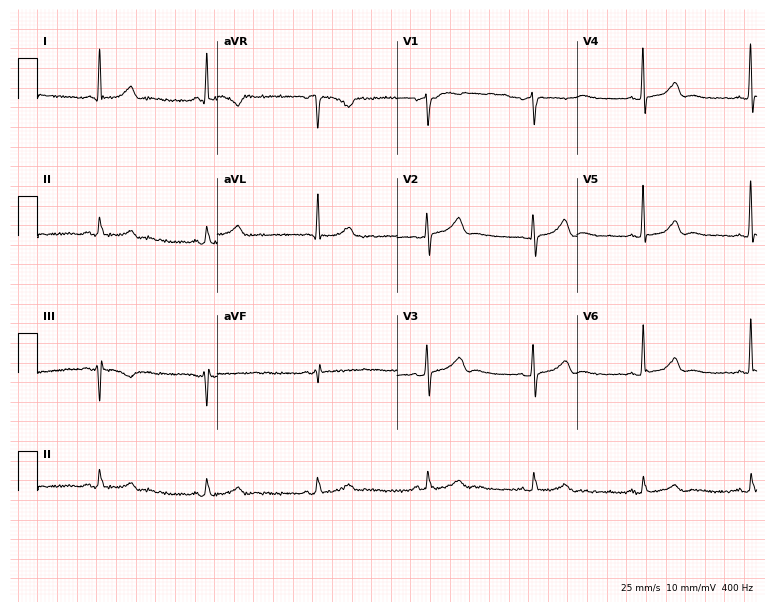
ECG (7.3-second recording at 400 Hz) — a female patient, 71 years old. Screened for six findings — first-degree AV block, right bundle branch block (RBBB), left bundle branch block (LBBB), sinus bradycardia, atrial fibrillation (AF), sinus tachycardia — none is recorded. Findings outside these six are not listed.